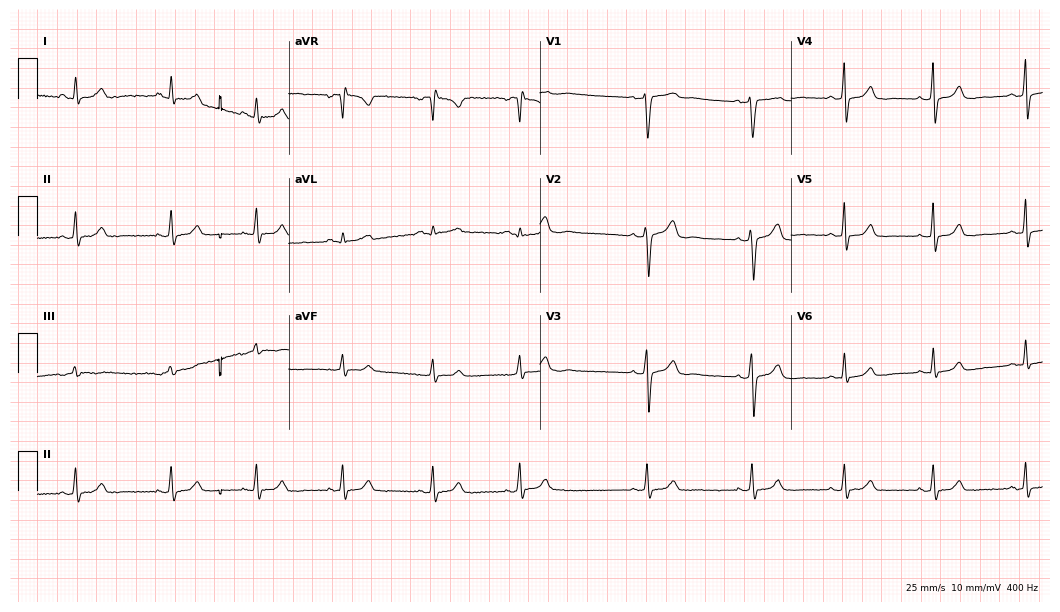
ECG (10.2-second recording at 400 Hz) — a 37-year-old female patient. Labelled as a normal ECG.